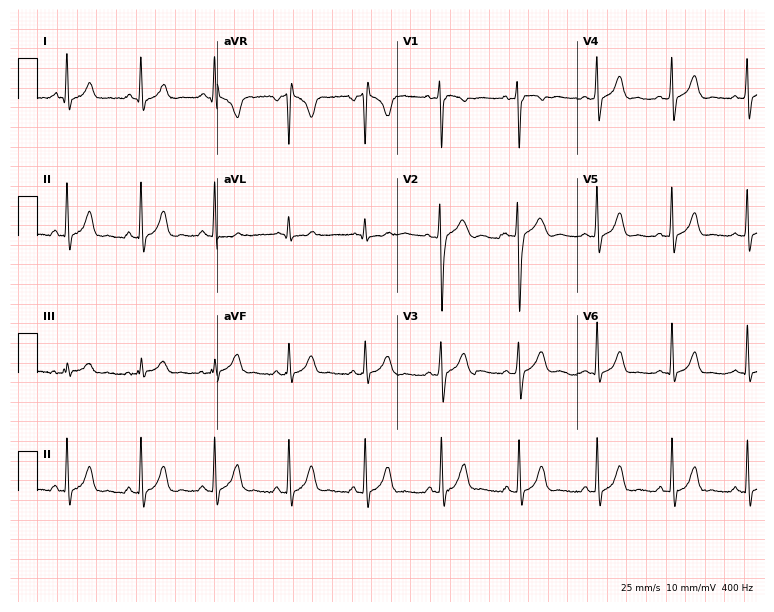
Electrocardiogram (7.3-second recording at 400 Hz), a man, 19 years old. Of the six screened findings (first-degree AV block, right bundle branch block (RBBB), left bundle branch block (LBBB), sinus bradycardia, atrial fibrillation (AF), sinus tachycardia), none is recorded. Only these six findings were labelled.